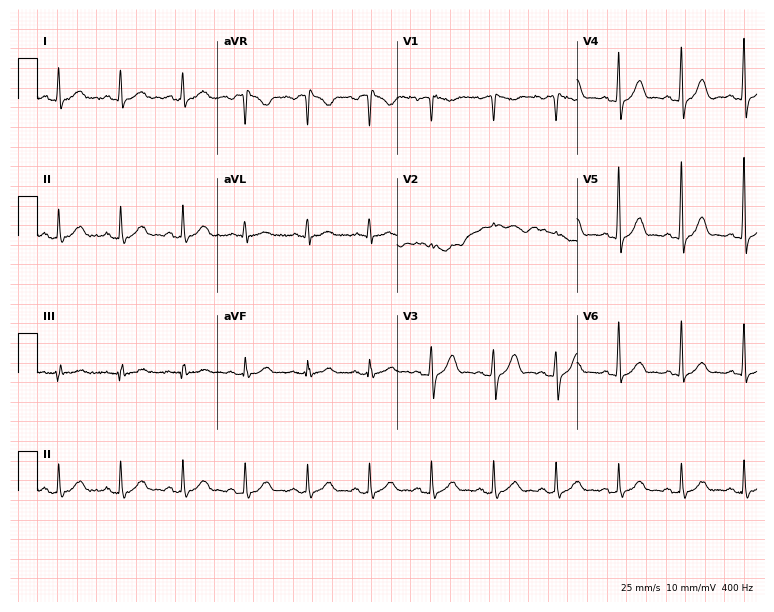
Electrocardiogram, a man, 56 years old. Overall reading on record: normal ECG.